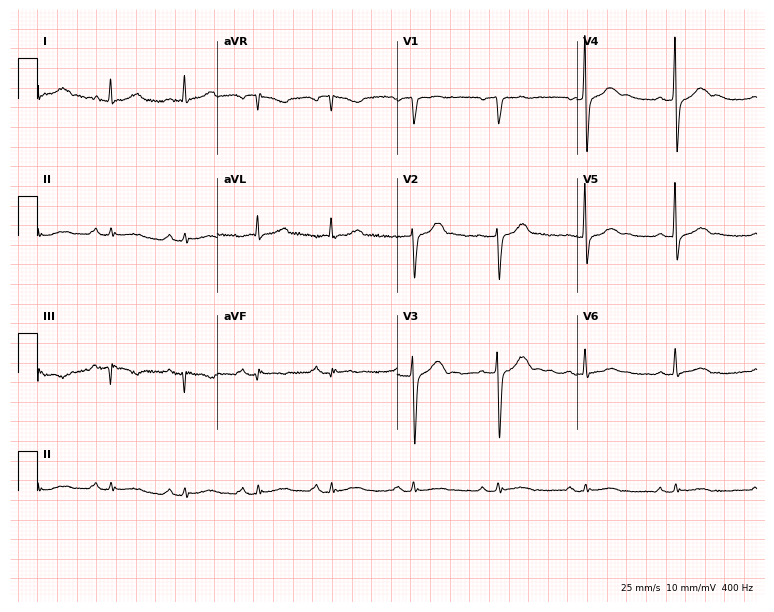
12-lead ECG from a male, 63 years old (7.3-second recording at 400 Hz). No first-degree AV block, right bundle branch block, left bundle branch block, sinus bradycardia, atrial fibrillation or sinus tachycardia recorded for this tracing. Other findings, if any, are not listed.